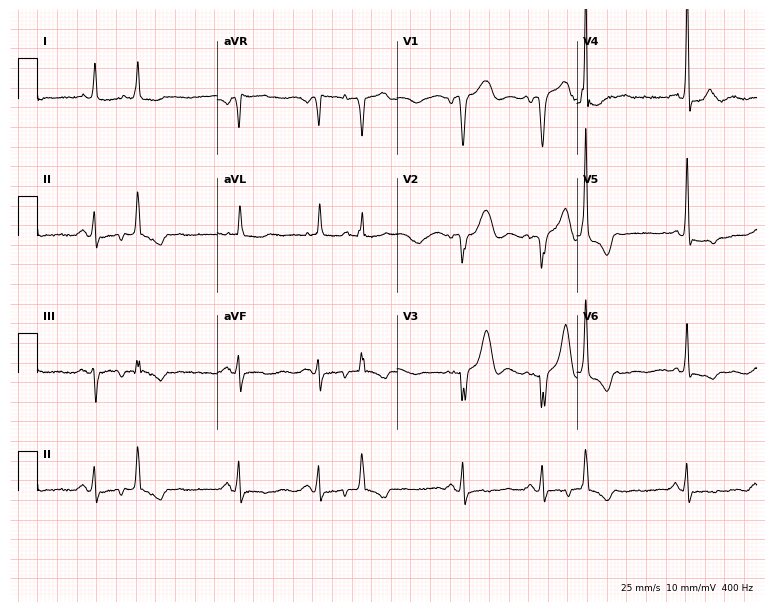
Electrocardiogram, a 26-year-old female patient. Of the six screened findings (first-degree AV block, right bundle branch block (RBBB), left bundle branch block (LBBB), sinus bradycardia, atrial fibrillation (AF), sinus tachycardia), none is recorded. Only these six findings were labelled.